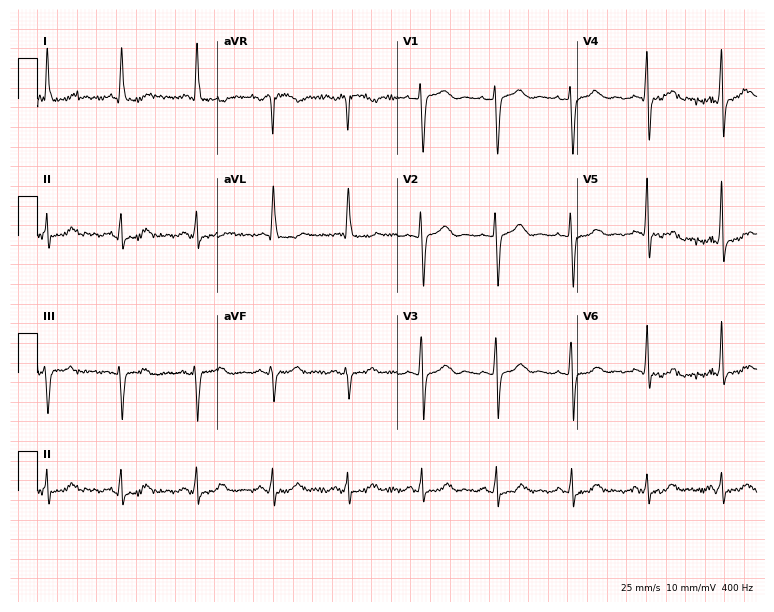
ECG — a 69-year-old woman. Screened for six findings — first-degree AV block, right bundle branch block (RBBB), left bundle branch block (LBBB), sinus bradycardia, atrial fibrillation (AF), sinus tachycardia — none is recorded. Findings outside these six are not listed.